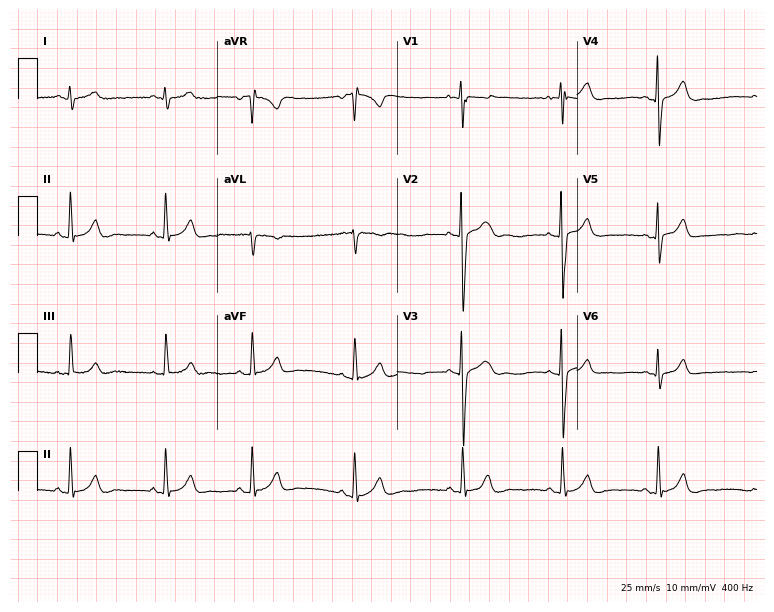
Resting 12-lead electrocardiogram. Patient: a 20-year-old male. Read as a normal ECG.